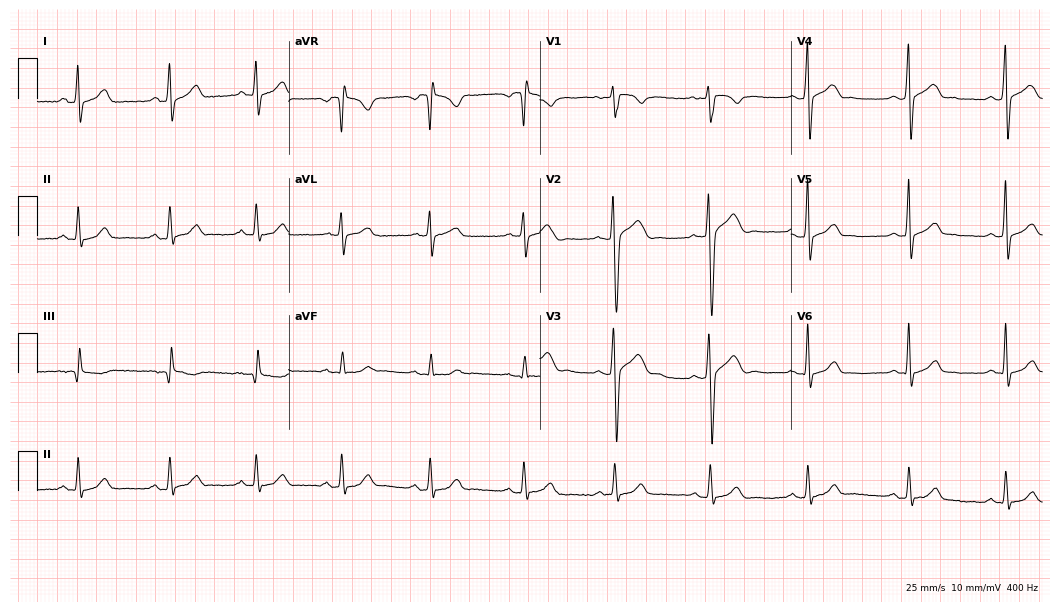
12-lead ECG from a 30-year-old male. Labelled as a normal ECG.